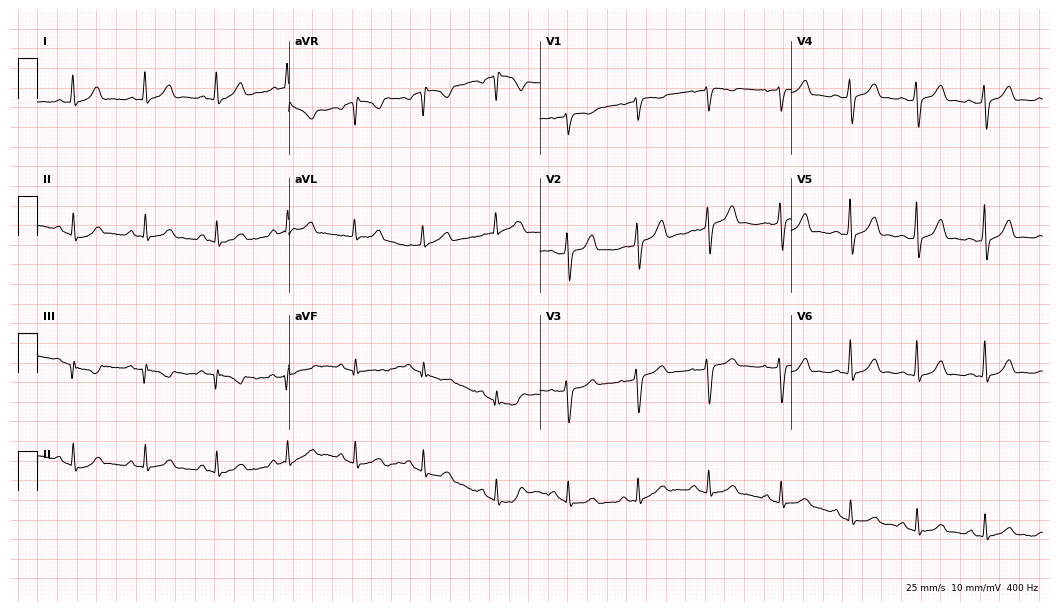
Resting 12-lead electrocardiogram. Patient: a 39-year-old female. Read as a normal ECG.